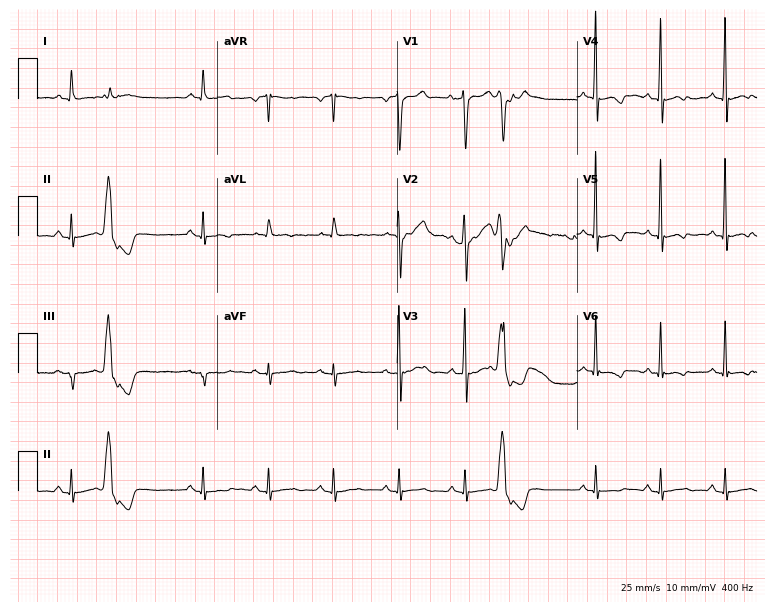
ECG (7.3-second recording at 400 Hz) — a 64-year-old male patient. Screened for six findings — first-degree AV block, right bundle branch block (RBBB), left bundle branch block (LBBB), sinus bradycardia, atrial fibrillation (AF), sinus tachycardia — none is recorded. Other findings, if any, are not listed.